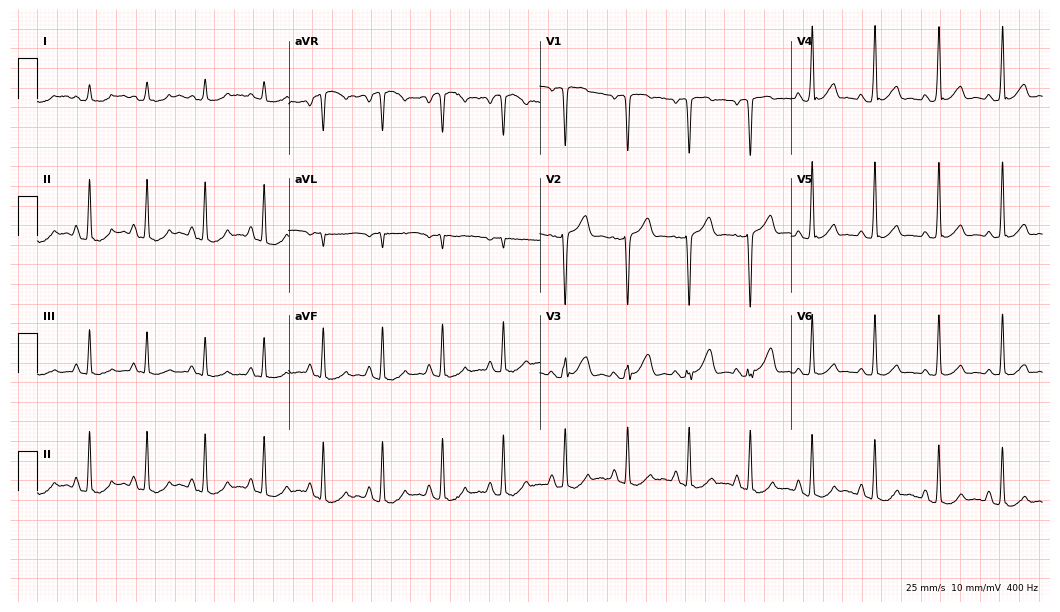
Standard 12-lead ECG recorded from a 54-year-old male. None of these six findings is recorded: first-degree AV block, right bundle branch block, left bundle branch block, sinus bradycardia, atrial fibrillation, sinus tachycardia. Findings outside these six are not listed.